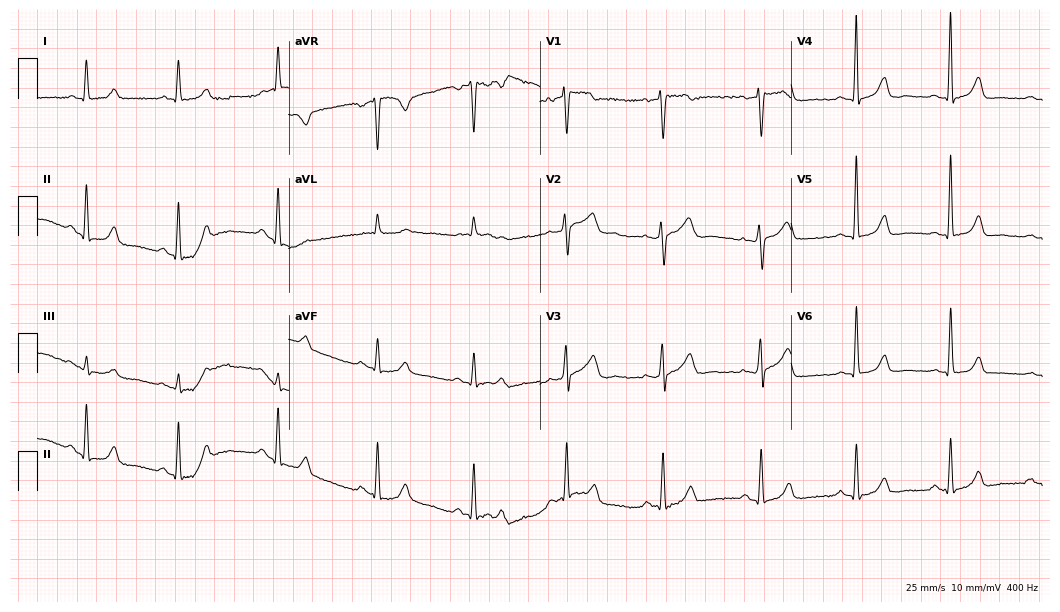
ECG (10.2-second recording at 400 Hz) — a 59-year-old female. Screened for six findings — first-degree AV block, right bundle branch block, left bundle branch block, sinus bradycardia, atrial fibrillation, sinus tachycardia — none is recorded. Only these six findings were labelled.